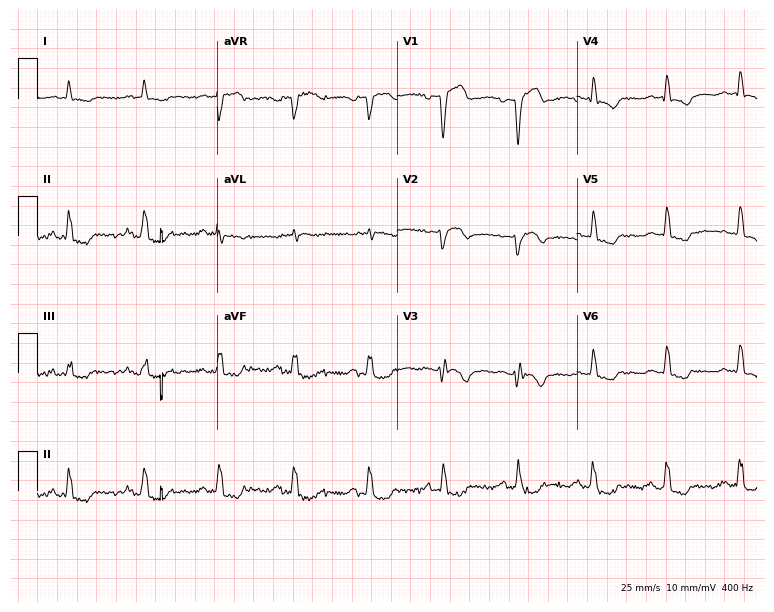
ECG — a man, 73 years old. Screened for six findings — first-degree AV block, right bundle branch block, left bundle branch block, sinus bradycardia, atrial fibrillation, sinus tachycardia — none is recorded.